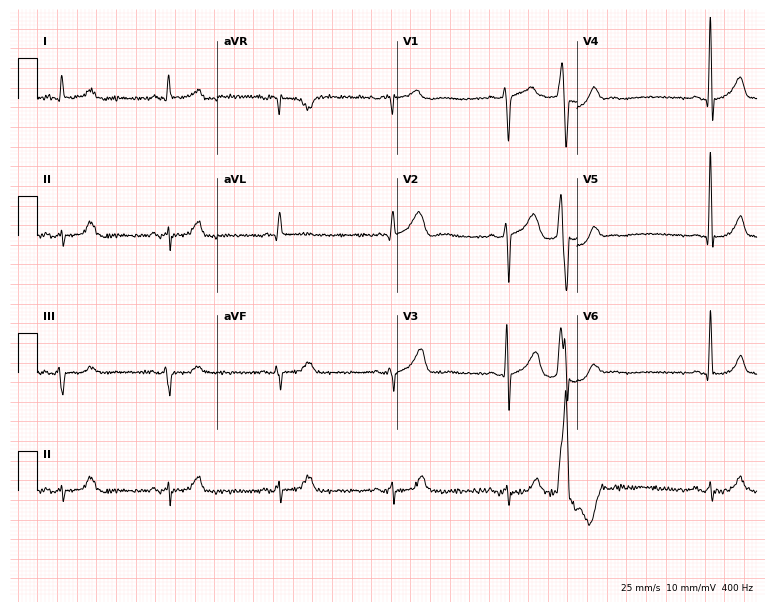
12-lead ECG (7.3-second recording at 400 Hz) from a male patient, 73 years old. Screened for six findings — first-degree AV block, right bundle branch block, left bundle branch block, sinus bradycardia, atrial fibrillation, sinus tachycardia — none is recorded.